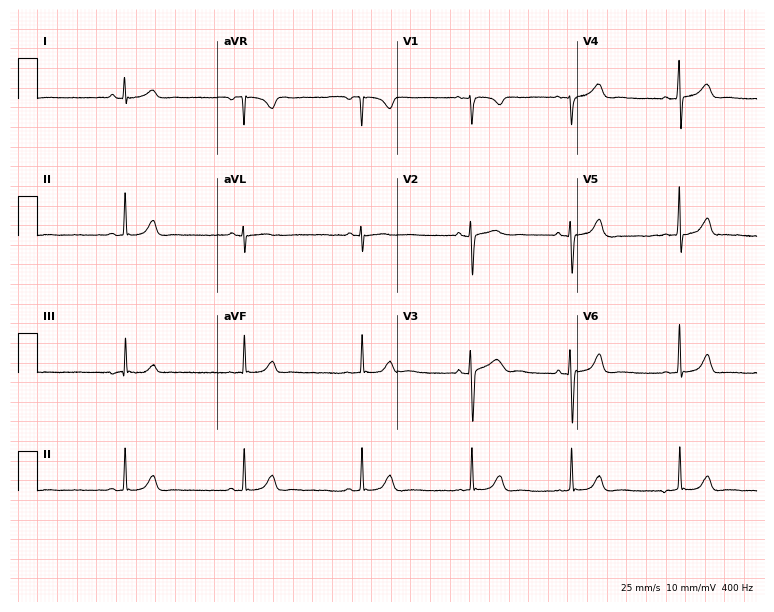
Electrocardiogram (7.3-second recording at 400 Hz), a female, 18 years old. Of the six screened findings (first-degree AV block, right bundle branch block, left bundle branch block, sinus bradycardia, atrial fibrillation, sinus tachycardia), none is recorded.